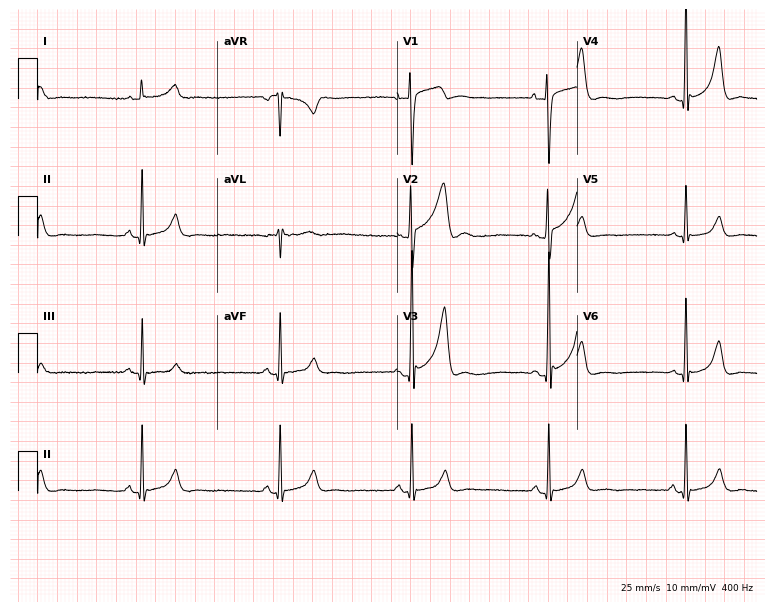
ECG (7.3-second recording at 400 Hz) — a 29-year-old man. Findings include sinus bradycardia (a sinus rate of 50 beats per minute or less).